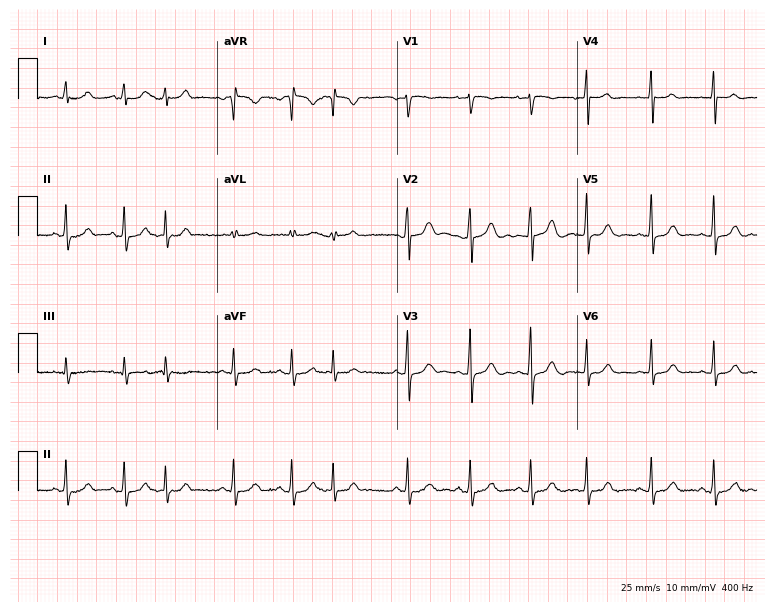
Standard 12-lead ECG recorded from a 27-year-old female patient (7.3-second recording at 400 Hz). None of these six findings is recorded: first-degree AV block, right bundle branch block, left bundle branch block, sinus bradycardia, atrial fibrillation, sinus tachycardia. Other findings, if any, are not listed.